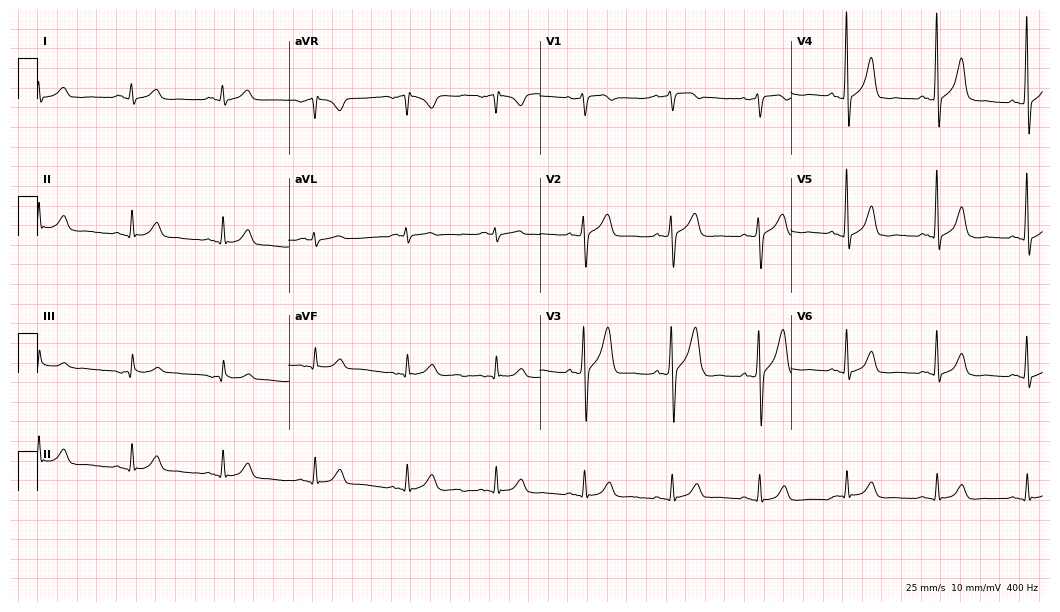
12-lead ECG from a man, 60 years old. Labelled as a normal ECG.